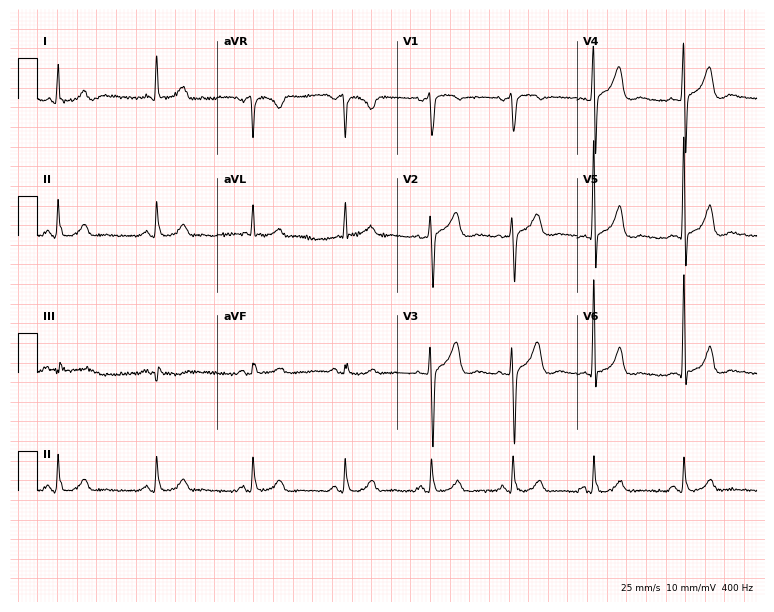
Electrocardiogram (7.3-second recording at 400 Hz), a man, 54 years old. Overall reading on record: normal ECG.